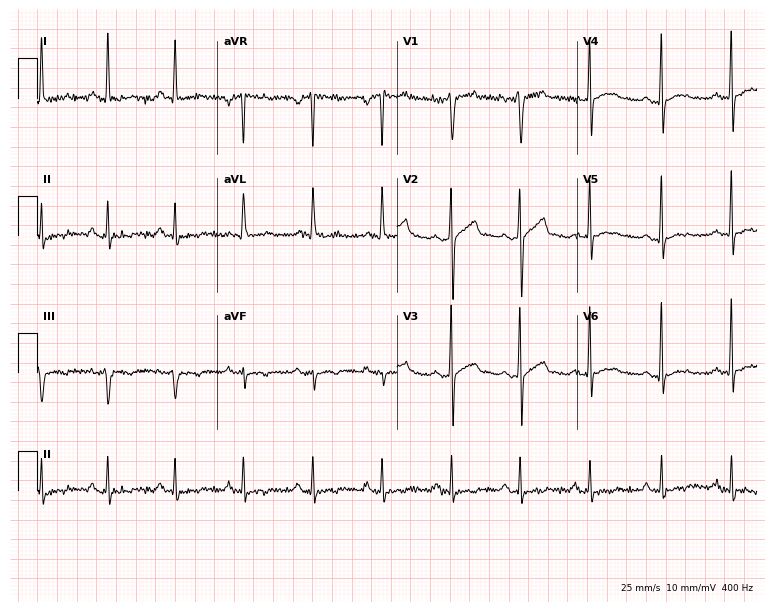
Standard 12-lead ECG recorded from a 41-year-old male (7.3-second recording at 400 Hz). None of these six findings is recorded: first-degree AV block, right bundle branch block, left bundle branch block, sinus bradycardia, atrial fibrillation, sinus tachycardia. Other findings, if any, are not listed.